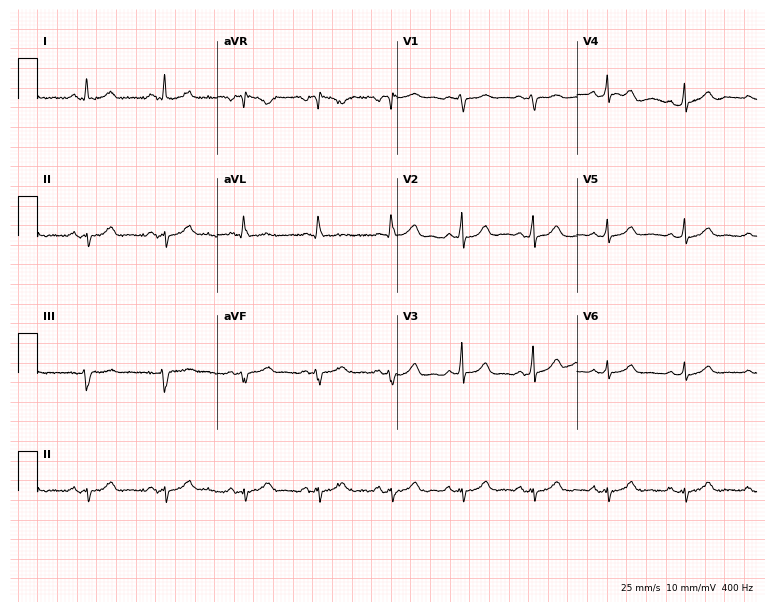
ECG (7.3-second recording at 400 Hz) — a 32-year-old woman. Labelled as a normal ECG.